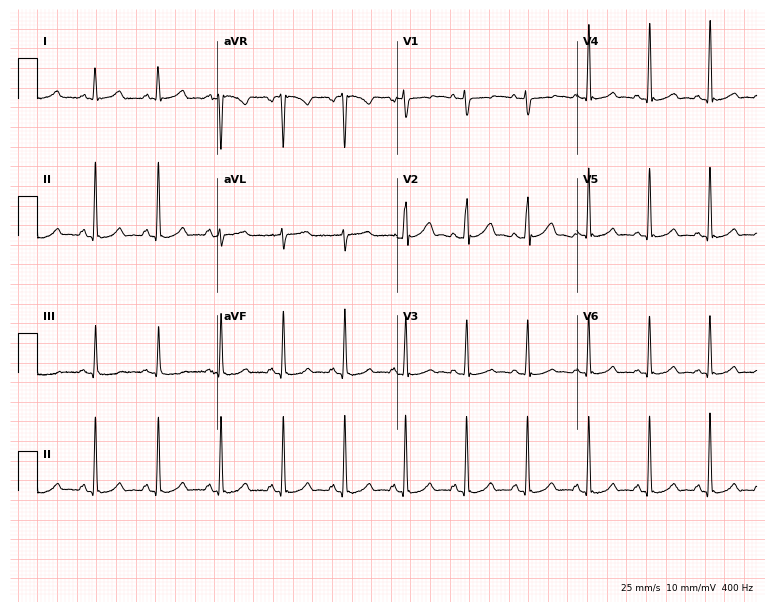
Electrocardiogram (7.3-second recording at 400 Hz), a 36-year-old woman. Overall reading on record: normal ECG.